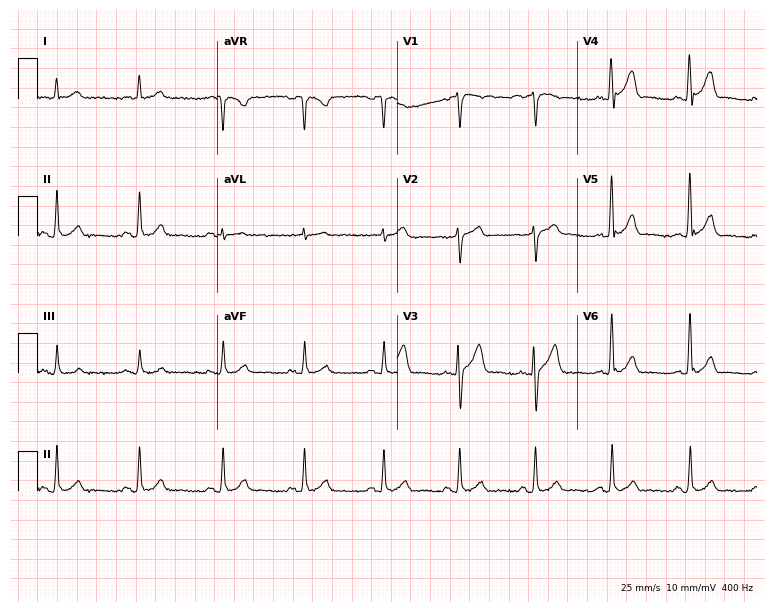
Electrocardiogram, a male, 51 years old. Overall reading on record: normal ECG.